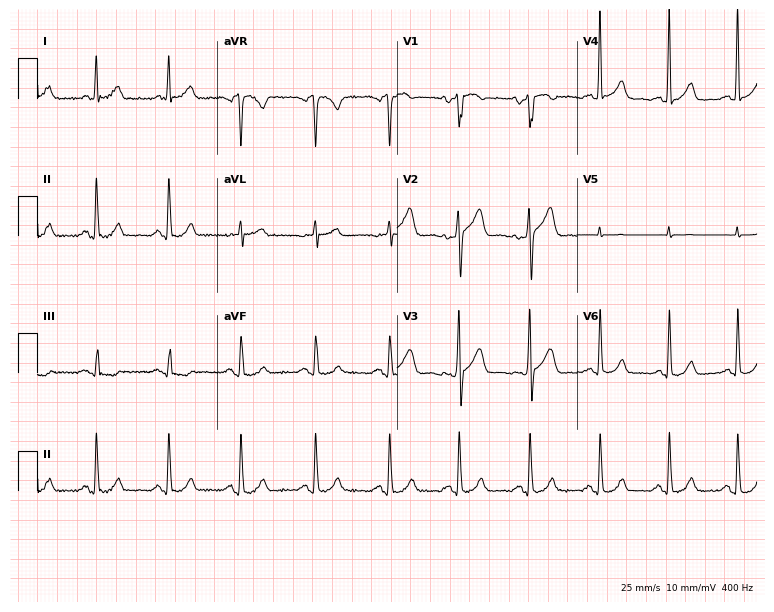
Standard 12-lead ECG recorded from a 64-year-old male (7.3-second recording at 400 Hz). Read as a normal ECG.